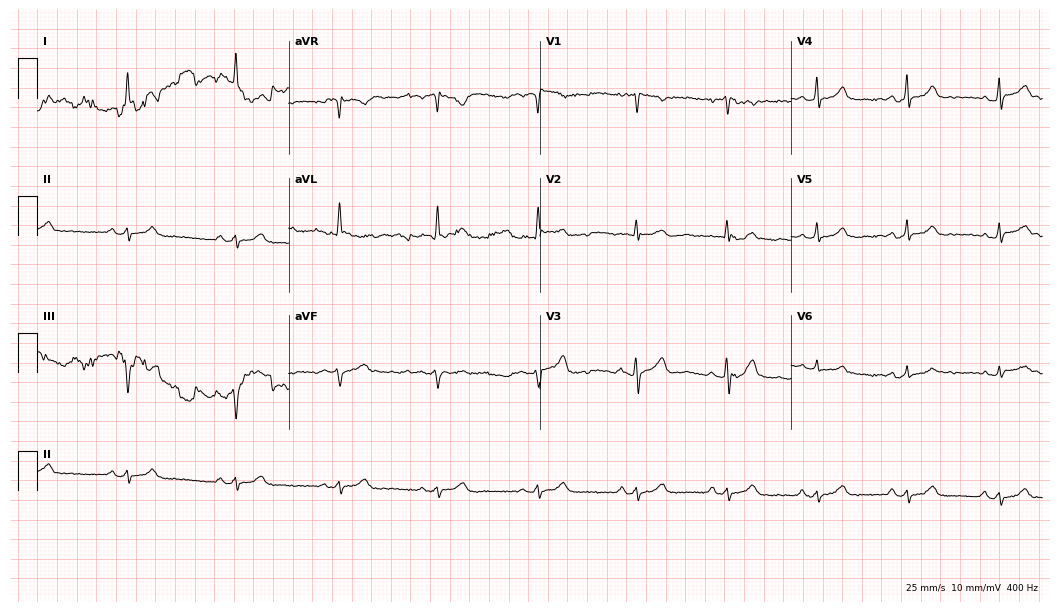
Resting 12-lead electrocardiogram (10.2-second recording at 400 Hz). Patient: a 67-year-old woman. Read as a normal ECG.